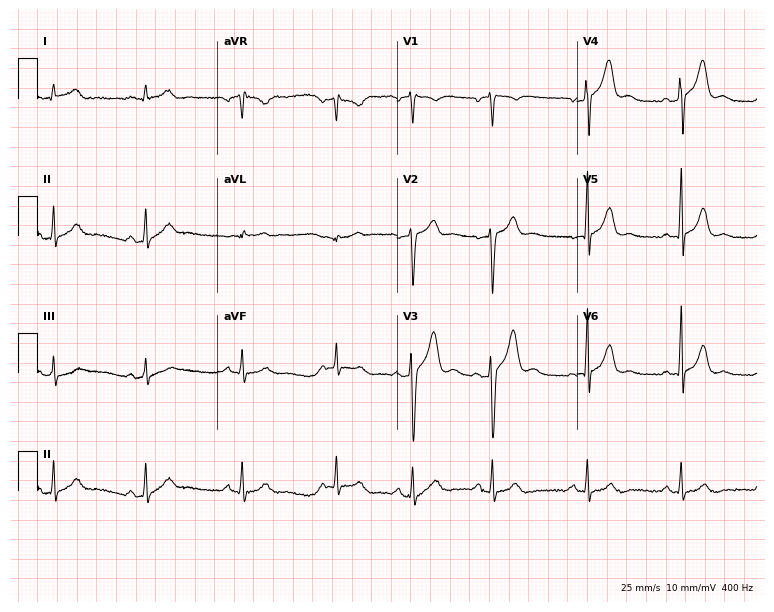
ECG (7.3-second recording at 400 Hz) — a 46-year-old man. Screened for six findings — first-degree AV block, right bundle branch block, left bundle branch block, sinus bradycardia, atrial fibrillation, sinus tachycardia — none is recorded. Only these six findings were labelled.